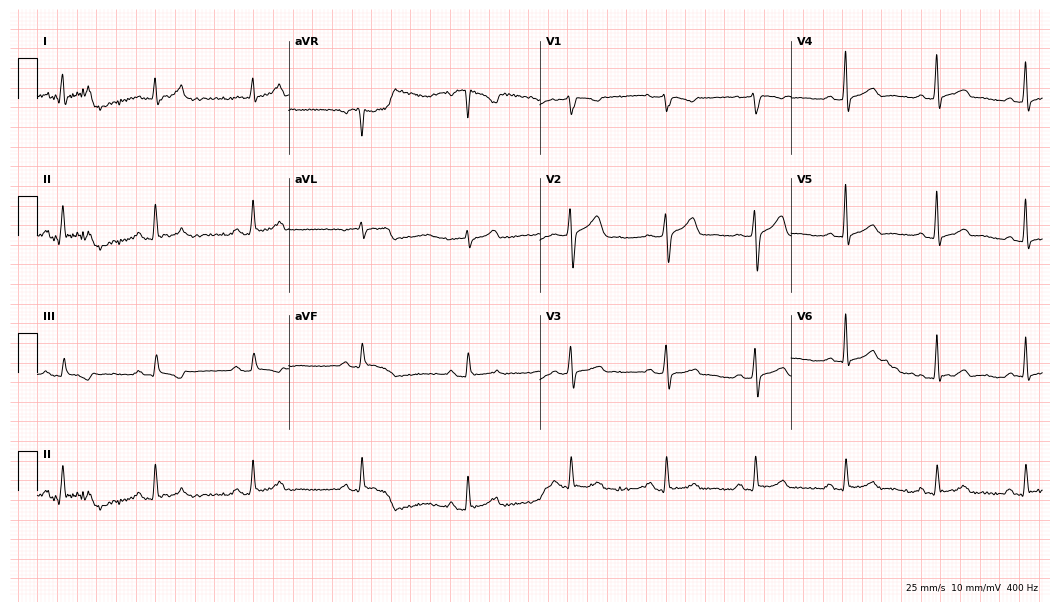
Electrocardiogram (10.2-second recording at 400 Hz), a 53-year-old male patient. Of the six screened findings (first-degree AV block, right bundle branch block (RBBB), left bundle branch block (LBBB), sinus bradycardia, atrial fibrillation (AF), sinus tachycardia), none is recorded. Findings outside these six are not listed.